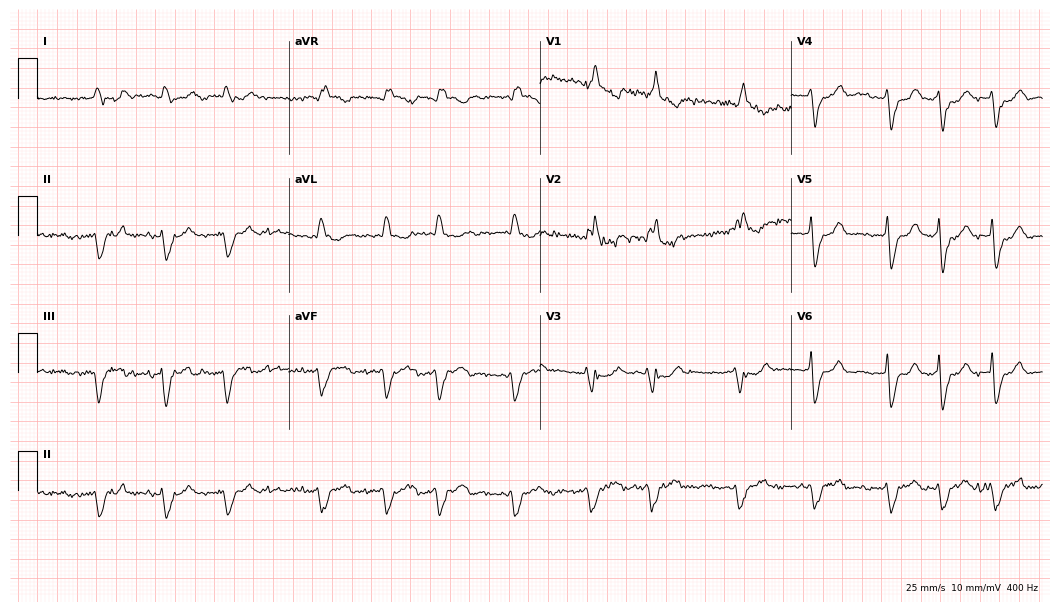
Standard 12-lead ECG recorded from a 78-year-old male patient (10.2-second recording at 400 Hz). The tracing shows right bundle branch block (RBBB), atrial fibrillation (AF).